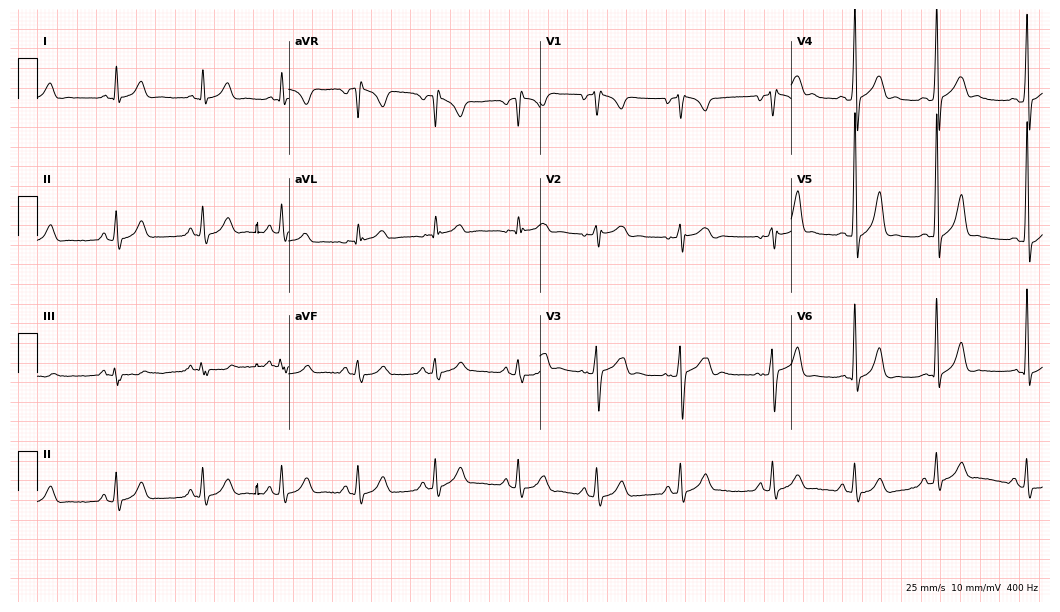
12-lead ECG from a 17-year-old male patient. No first-degree AV block, right bundle branch block, left bundle branch block, sinus bradycardia, atrial fibrillation or sinus tachycardia recorded for this tracing. Findings outside these six are not listed.